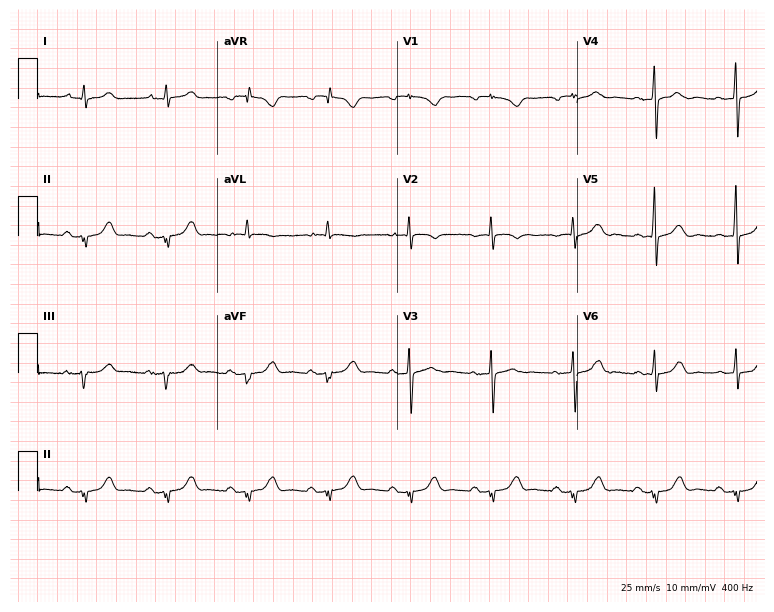
ECG — an 86-year-old male patient. Screened for six findings — first-degree AV block, right bundle branch block (RBBB), left bundle branch block (LBBB), sinus bradycardia, atrial fibrillation (AF), sinus tachycardia — none is recorded.